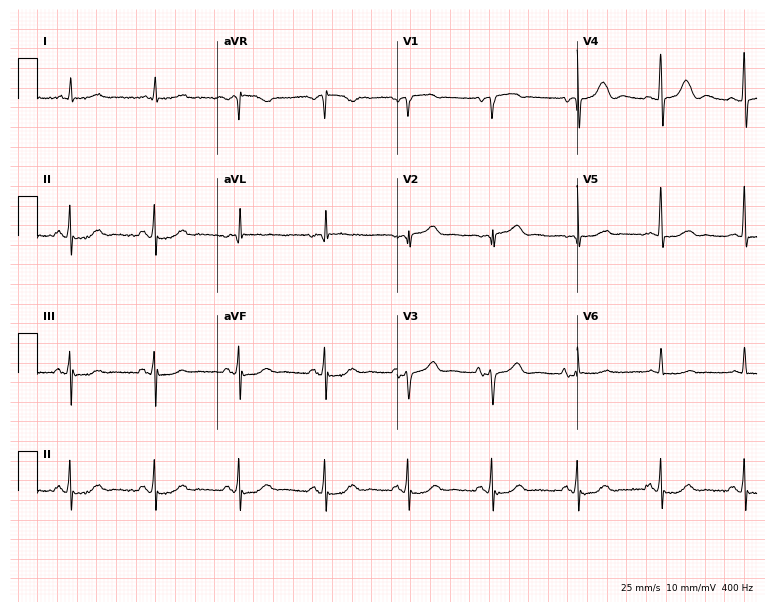
12-lead ECG from a 73-year-old female. No first-degree AV block, right bundle branch block, left bundle branch block, sinus bradycardia, atrial fibrillation or sinus tachycardia recorded for this tracing.